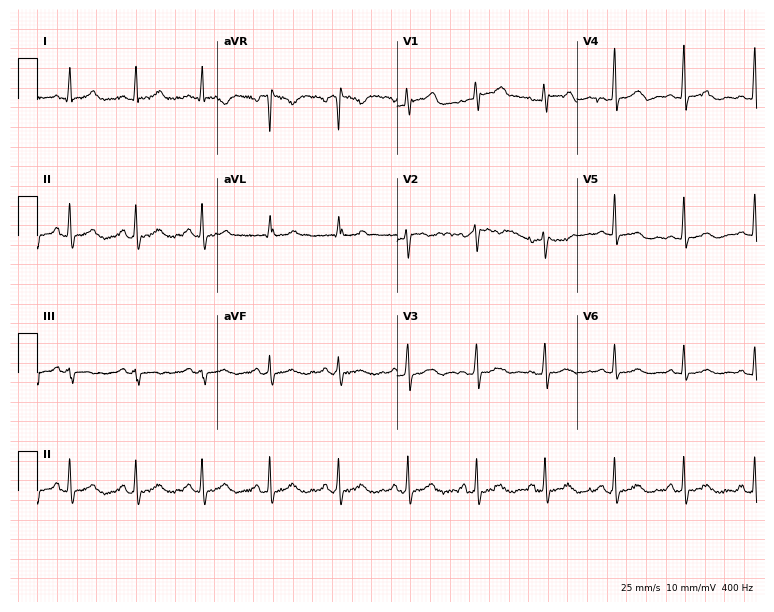
Resting 12-lead electrocardiogram. Patient: a female, 47 years old. None of these six findings is recorded: first-degree AV block, right bundle branch block, left bundle branch block, sinus bradycardia, atrial fibrillation, sinus tachycardia. Findings outside these six are not listed.